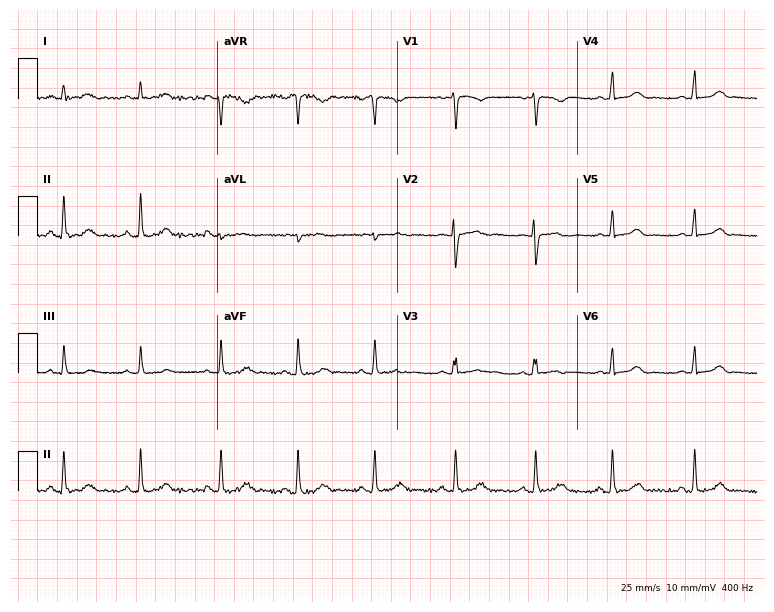
Resting 12-lead electrocardiogram. Patient: a woman, 22 years old. None of these six findings is recorded: first-degree AV block, right bundle branch block, left bundle branch block, sinus bradycardia, atrial fibrillation, sinus tachycardia. Other findings, if any, are not listed.